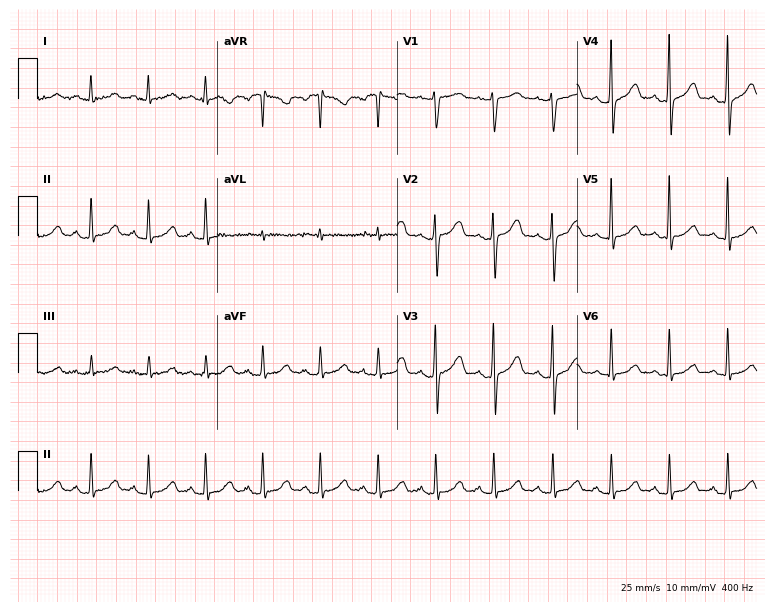
Electrocardiogram (7.3-second recording at 400 Hz), a 39-year-old female patient. Of the six screened findings (first-degree AV block, right bundle branch block, left bundle branch block, sinus bradycardia, atrial fibrillation, sinus tachycardia), none is recorded.